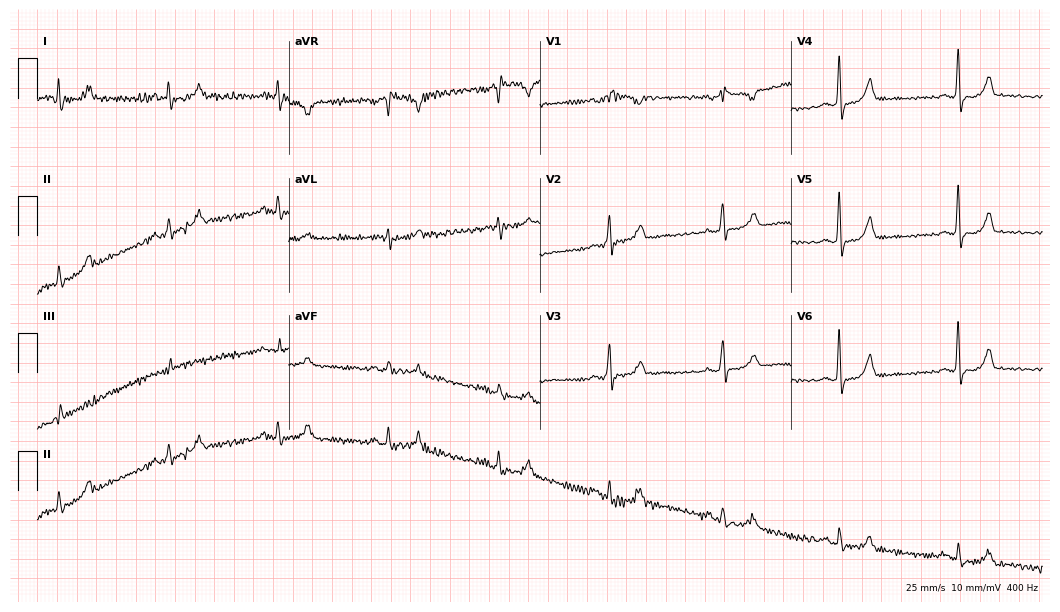
12-lead ECG from a 54-year-old woman. Screened for six findings — first-degree AV block, right bundle branch block, left bundle branch block, sinus bradycardia, atrial fibrillation, sinus tachycardia — none is recorded. Findings outside these six are not listed.